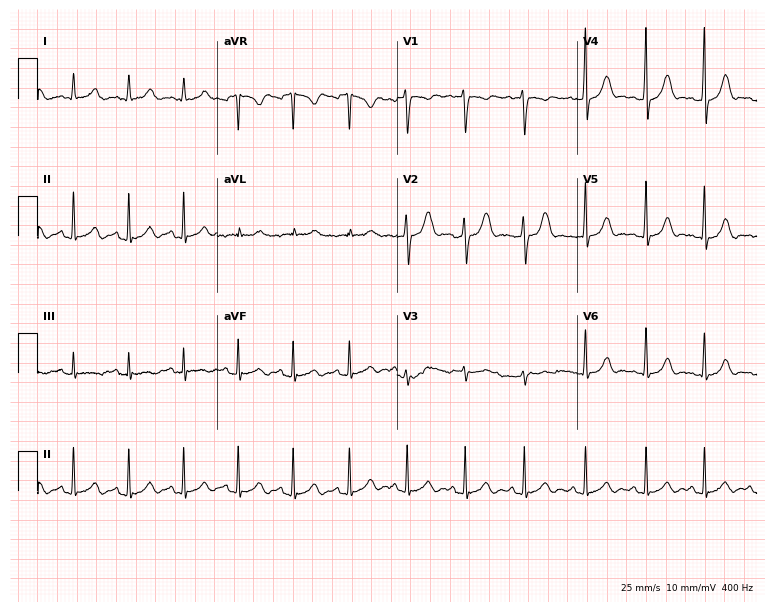
12-lead ECG (7.3-second recording at 400 Hz) from a female patient, 22 years old. Labelled as a normal ECG.